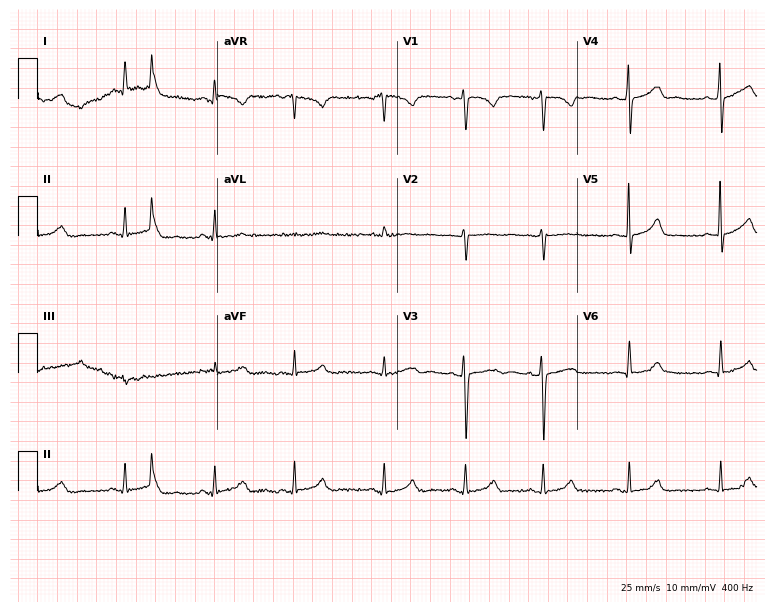
12-lead ECG from a 40-year-old female patient (7.3-second recording at 400 Hz). Recorded interpretation: within normal limits.